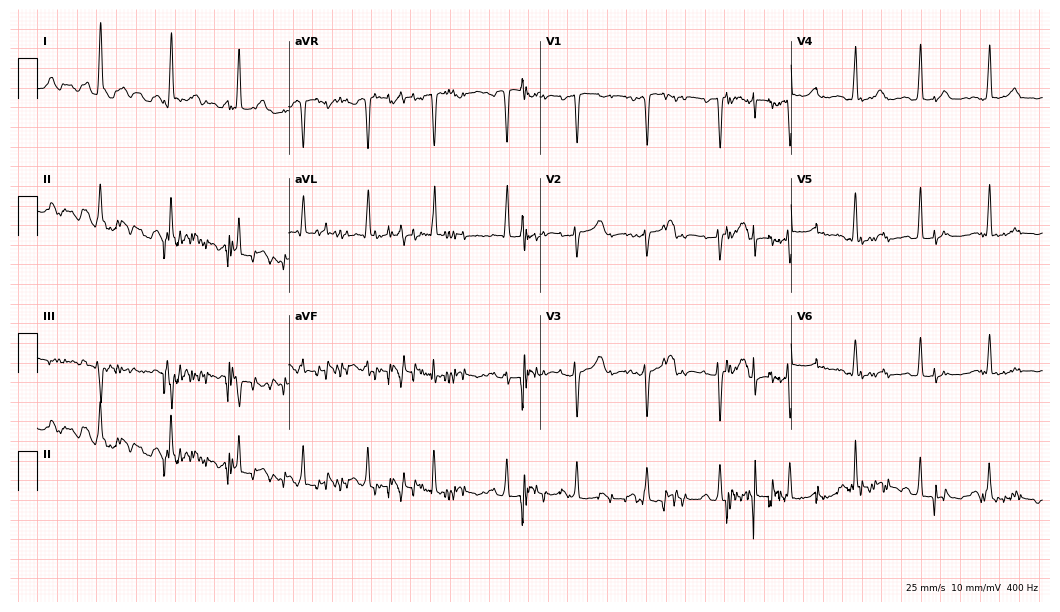
12-lead ECG from a female, 66 years old. Screened for six findings — first-degree AV block, right bundle branch block, left bundle branch block, sinus bradycardia, atrial fibrillation, sinus tachycardia — none is recorded.